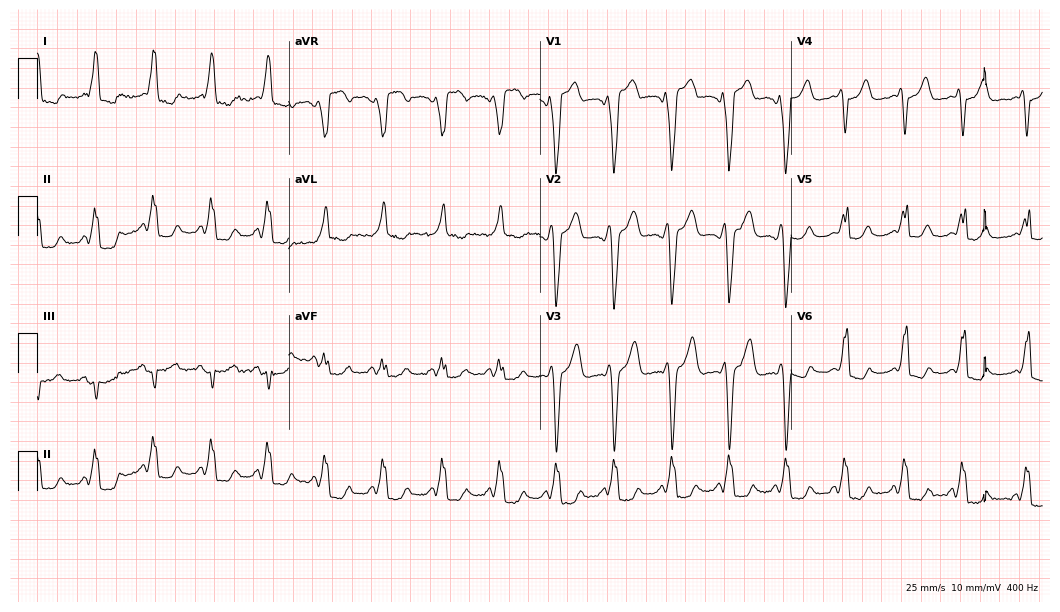
Resting 12-lead electrocardiogram. Patient: a female, 32 years old. The tracing shows left bundle branch block, sinus tachycardia (a sinus rate of 100 beats per minute or more).